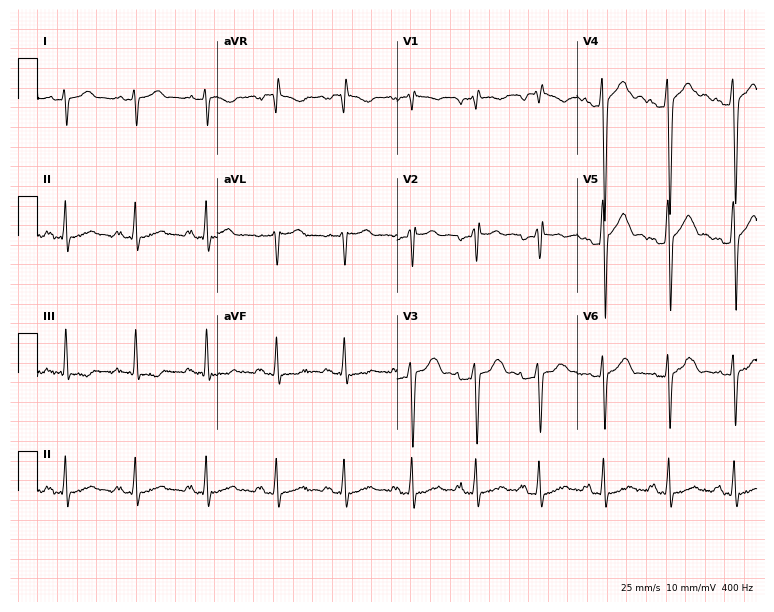
12-lead ECG from a man, 25 years old. No first-degree AV block, right bundle branch block (RBBB), left bundle branch block (LBBB), sinus bradycardia, atrial fibrillation (AF) or sinus tachycardia recorded for this tracing.